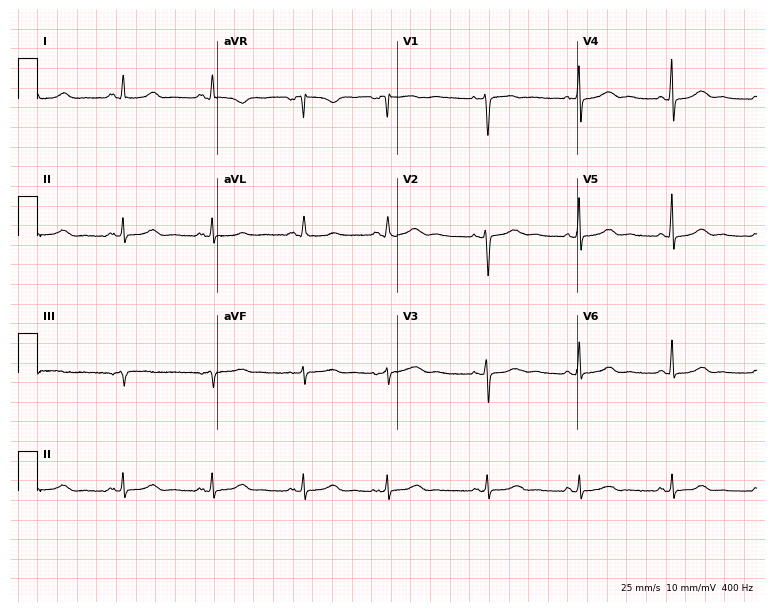
ECG — a woman, 49 years old. Labelled as a normal ECG.